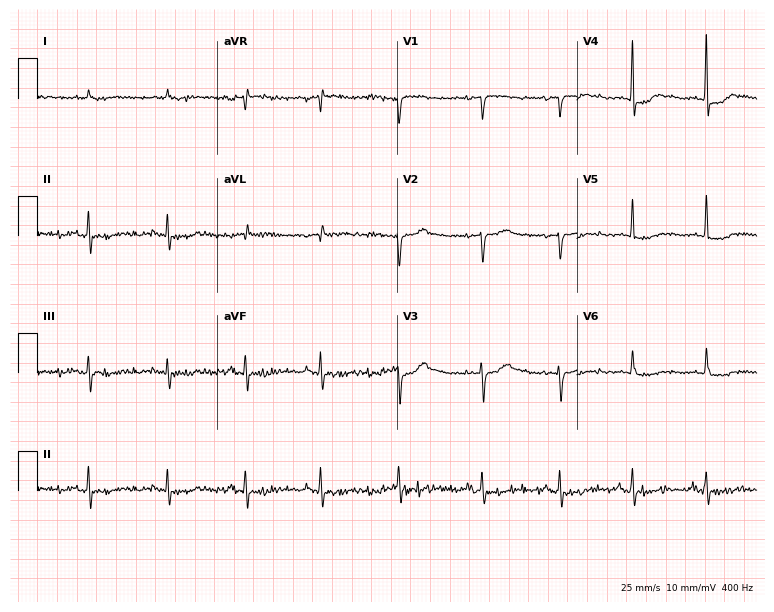
12-lead ECG from a 74-year-old woman. Screened for six findings — first-degree AV block, right bundle branch block (RBBB), left bundle branch block (LBBB), sinus bradycardia, atrial fibrillation (AF), sinus tachycardia — none is recorded. Findings outside these six are not listed.